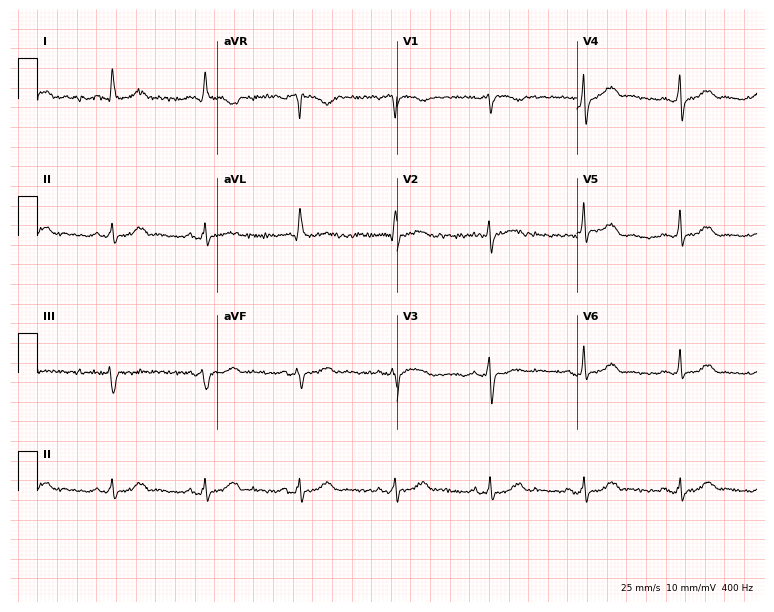
12-lead ECG (7.3-second recording at 400 Hz) from a woman, 67 years old. Screened for six findings — first-degree AV block, right bundle branch block, left bundle branch block, sinus bradycardia, atrial fibrillation, sinus tachycardia — none is recorded.